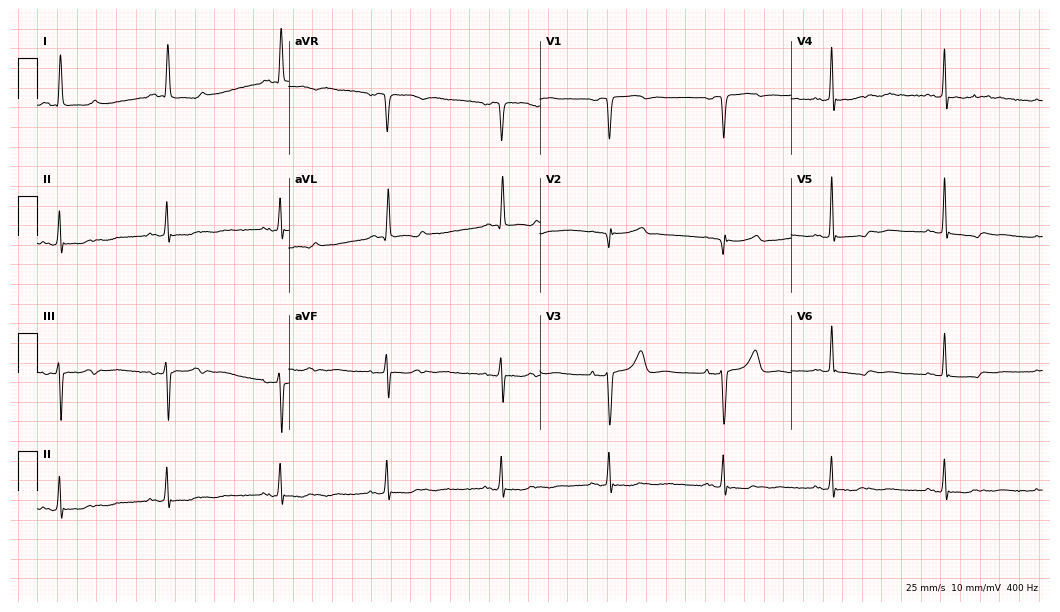
Standard 12-lead ECG recorded from an 85-year-old female (10.2-second recording at 400 Hz). None of these six findings is recorded: first-degree AV block, right bundle branch block (RBBB), left bundle branch block (LBBB), sinus bradycardia, atrial fibrillation (AF), sinus tachycardia. Only these six findings were labelled.